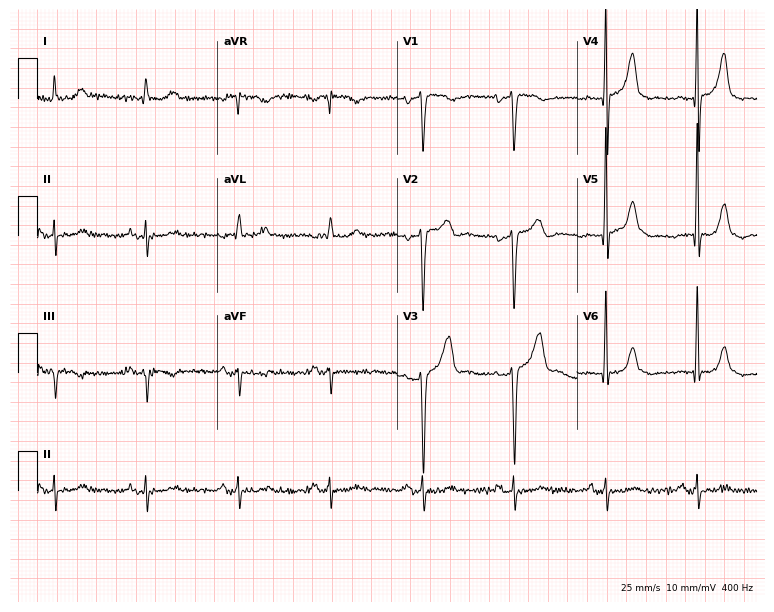
Electrocardiogram, a 74-year-old male. Of the six screened findings (first-degree AV block, right bundle branch block (RBBB), left bundle branch block (LBBB), sinus bradycardia, atrial fibrillation (AF), sinus tachycardia), none is recorded.